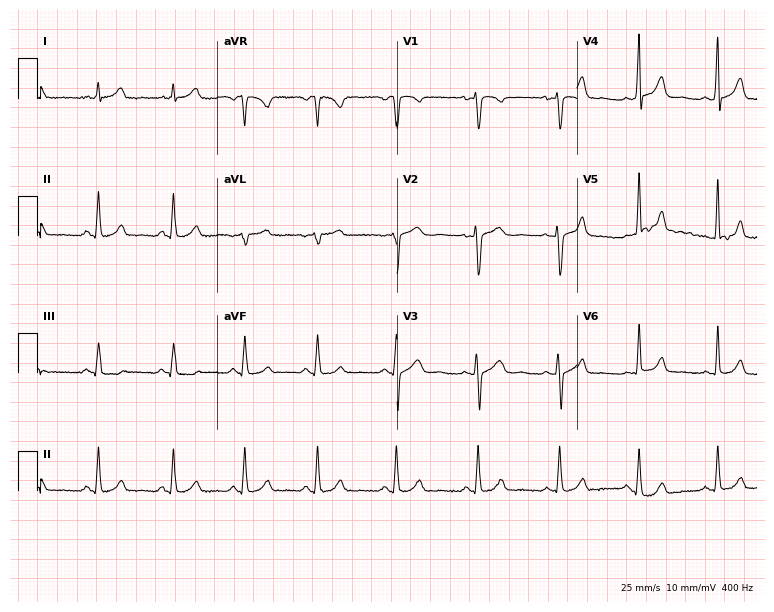
12-lead ECG from a 28-year-old female patient (7.3-second recording at 400 Hz). No first-degree AV block, right bundle branch block, left bundle branch block, sinus bradycardia, atrial fibrillation or sinus tachycardia recorded for this tracing. Only these six findings were labelled.